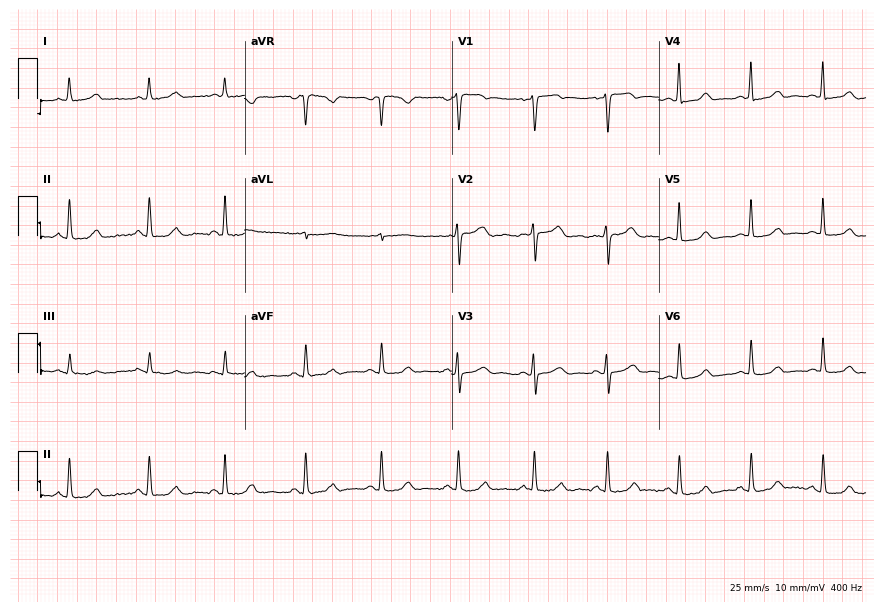
12-lead ECG from a woman, 57 years old. Recorded interpretation: within normal limits.